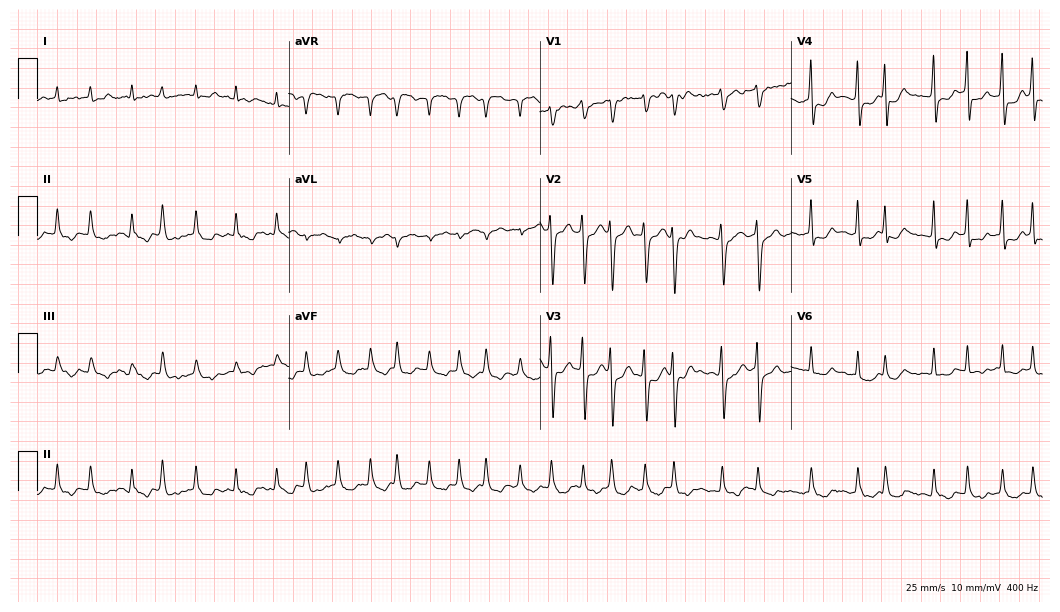
Electrocardiogram, a 72-year-old female. Interpretation includes atrial fibrillation (AF).